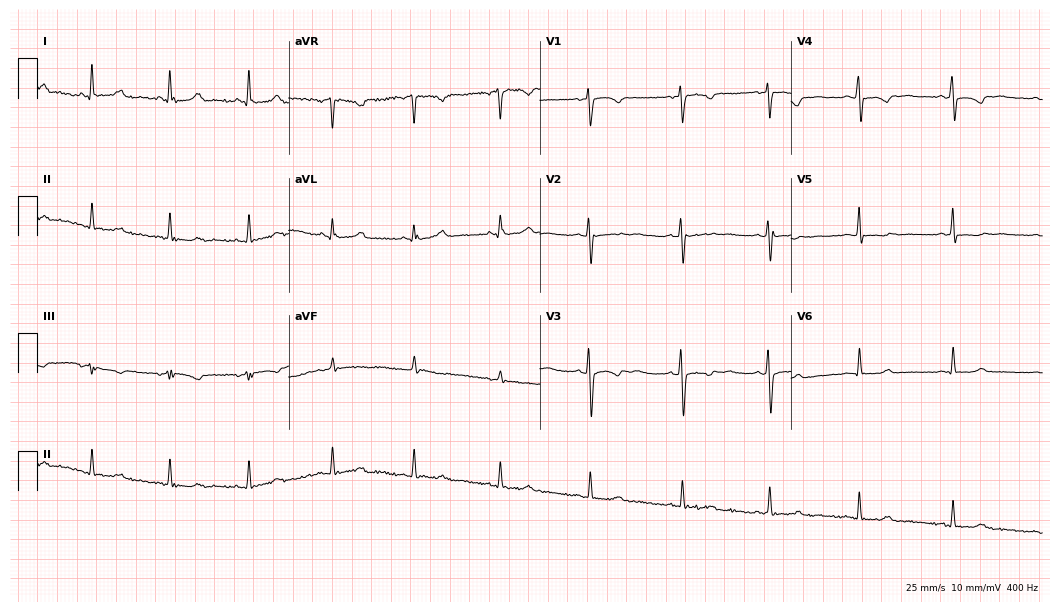
Standard 12-lead ECG recorded from a 33-year-old female patient (10.2-second recording at 400 Hz). None of these six findings is recorded: first-degree AV block, right bundle branch block (RBBB), left bundle branch block (LBBB), sinus bradycardia, atrial fibrillation (AF), sinus tachycardia.